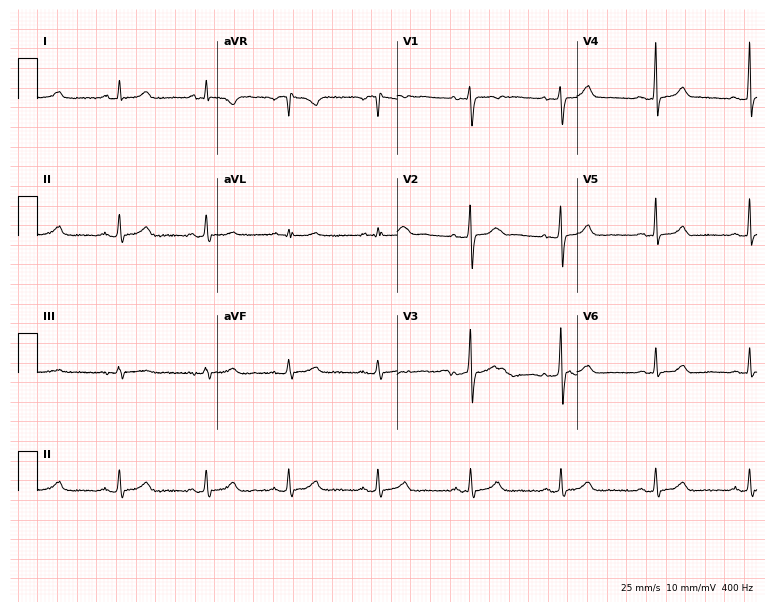
12-lead ECG (7.3-second recording at 400 Hz) from a 28-year-old female. Labelled as a normal ECG.